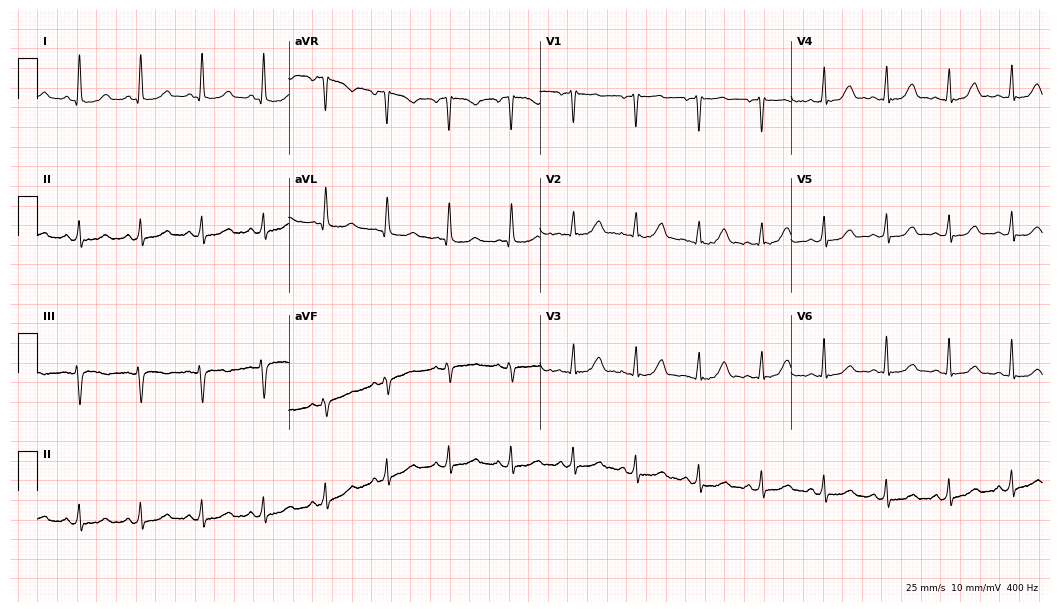
ECG (10.2-second recording at 400 Hz) — a female patient, 50 years old. Labelled as a normal ECG.